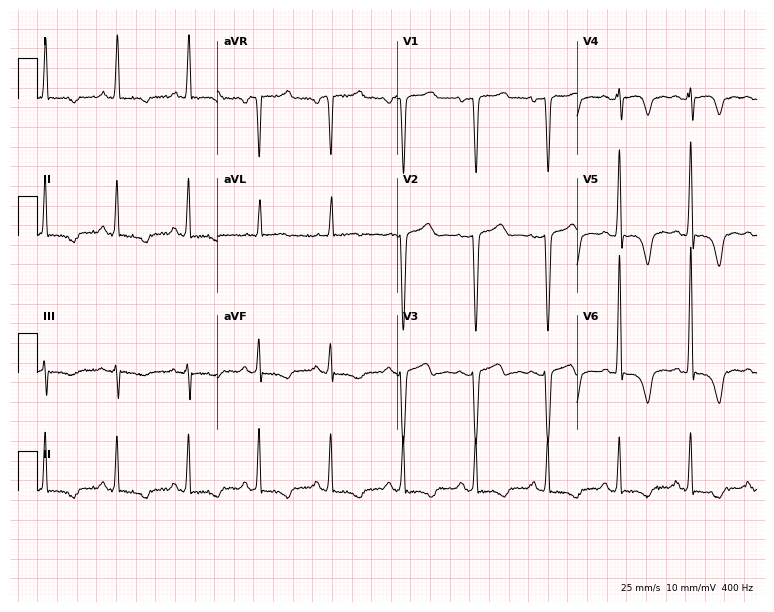
ECG (7.3-second recording at 400 Hz) — a 62-year-old female patient. Screened for six findings — first-degree AV block, right bundle branch block, left bundle branch block, sinus bradycardia, atrial fibrillation, sinus tachycardia — none is recorded. Findings outside these six are not listed.